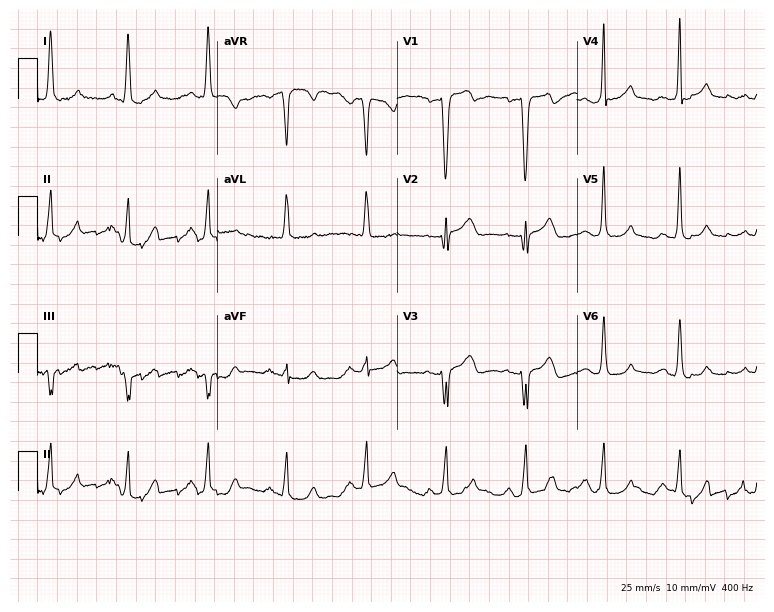
Resting 12-lead electrocardiogram (7.3-second recording at 400 Hz). Patient: a female, 55 years old. None of these six findings is recorded: first-degree AV block, right bundle branch block, left bundle branch block, sinus bradycardia, atrial fibrillation, sinus tachycardia. Findings outside these six are not listed.